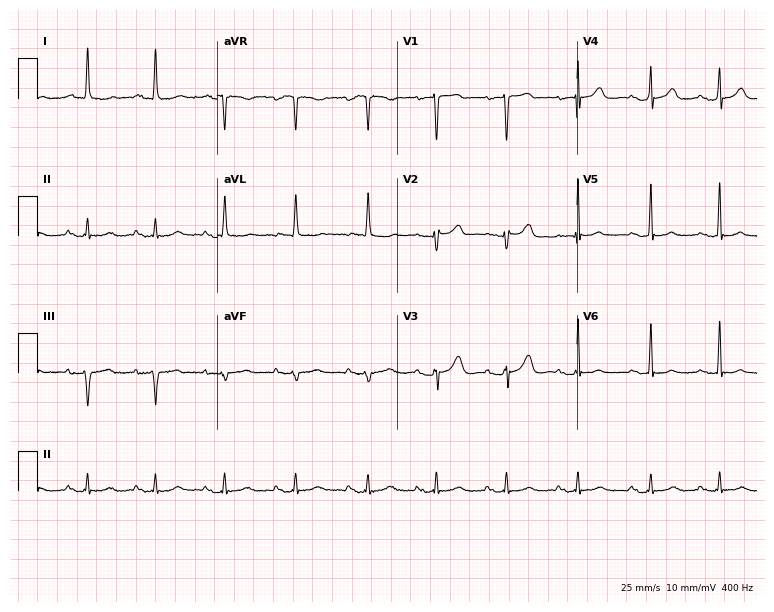
Electrocardiogram (7.3-second recording at 400 Hz), an 85-year-old female. Of the six screened findings (first-degree AV block, right bundle branch block, left bundle branch block, sinus bradycardia, atrial fibrillation, sinus tachycardia), none is recorded.